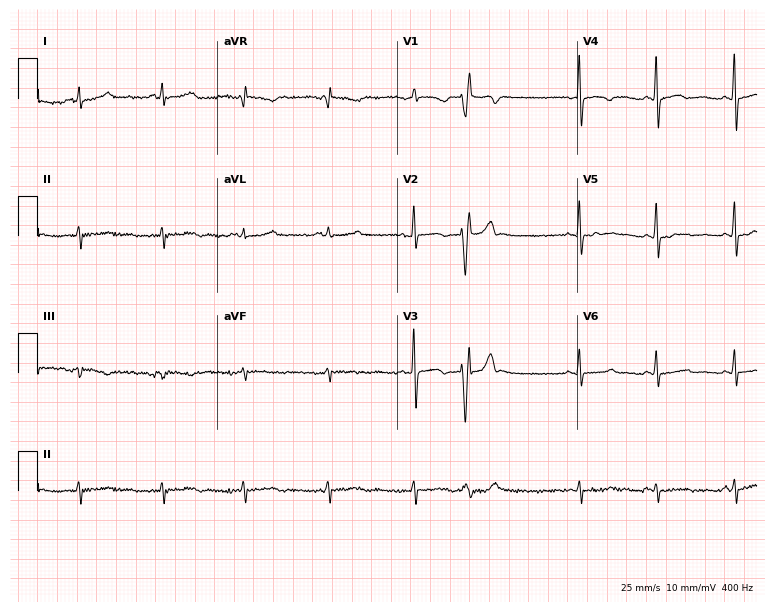
Resting 12-lead electrocardiogram. Patient: an 85-year-old female. None of these six findings is recorded: first-degree AV block, right bundle branch block, left bundle branch block, sinus bradycardia, atrial fibrillation, sinus tachycardia. Only these six findings were labelled.